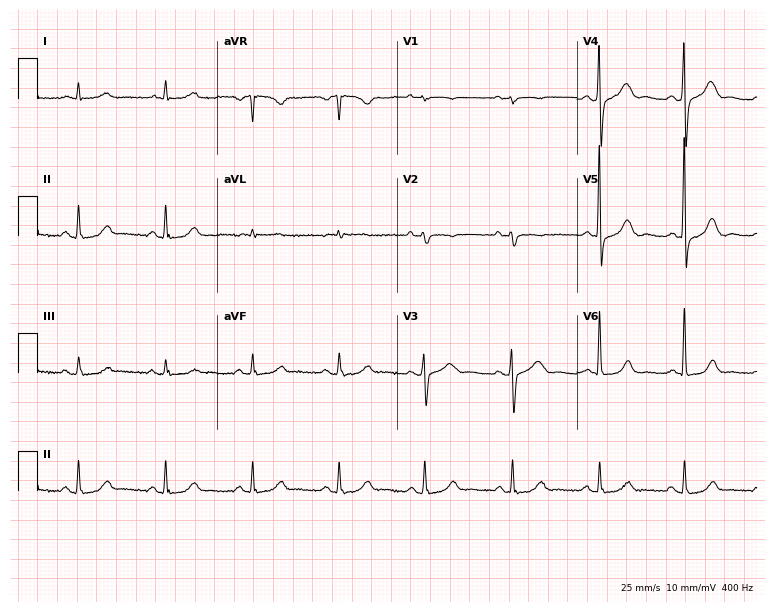
Resting 12-lead electrocardiogram (7.3-second recording at 400 Hz). Patient: a woman, 76 years old. None of these six findings is recorded: first-degree AV block, right bundle branch block, left bundle branch block, sinus bradycardia, atrial fibrillation, sinus tachycardia.